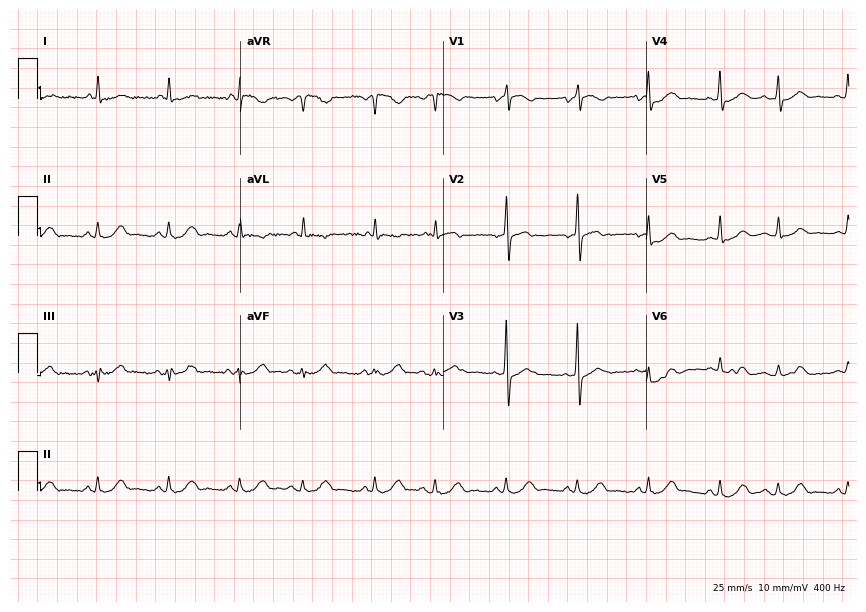
12-lead ECG (8.3-second recording at 400 Hz) from an 81-year-old woman. Labelled as a normal ECG.